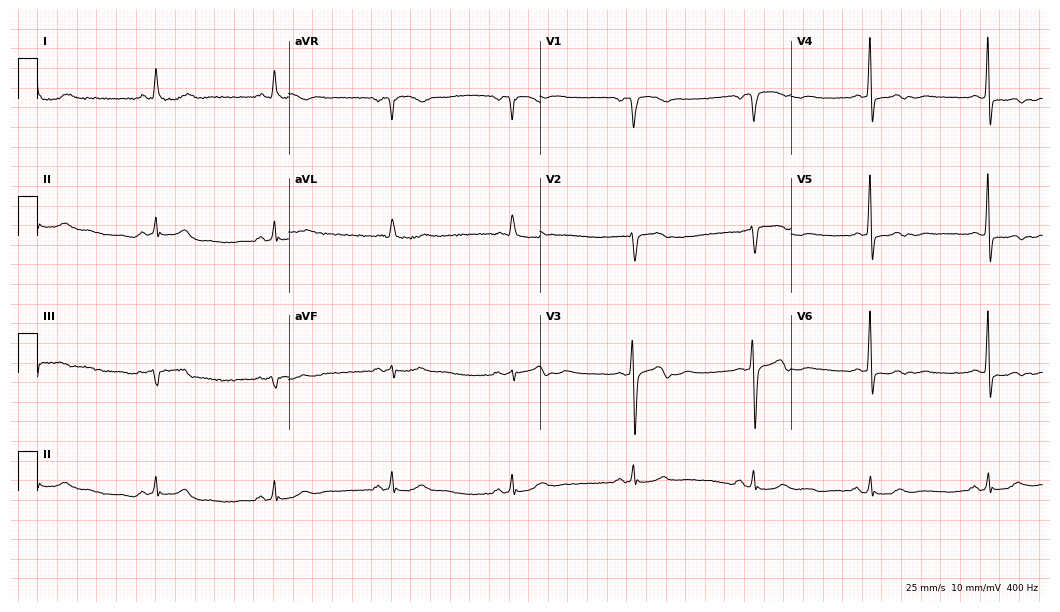
12-lead ECG (10.2-second recording at 400 Hz) from a male patient, 78 years old. Screened for six findings — first-degree AV block, right bundle branch block, left bundle branch block, sinus bradycardia, atrial fibrillation, sinus tachycardia — none is recorded. Other findings, if any, are not listed.